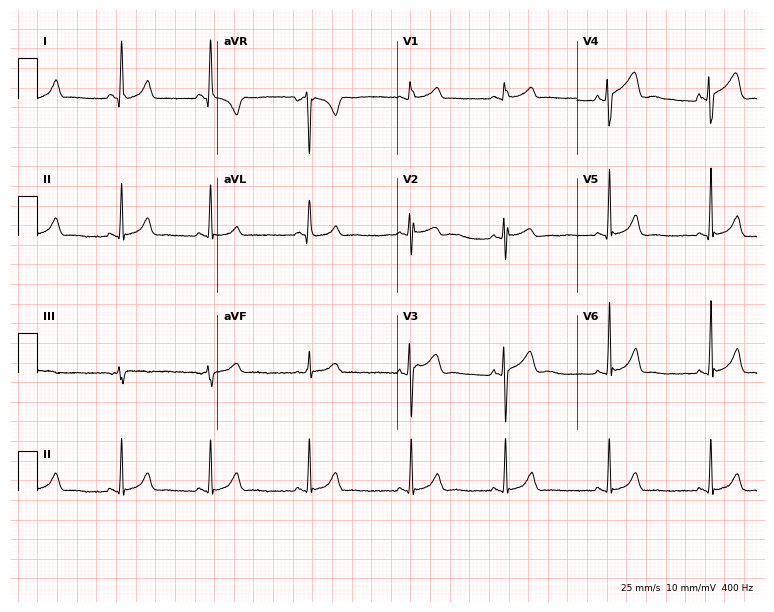
Standard 12-lead ECG recorded from a 24-year-old woman (7.3-second recording at 400 Hz). None of these six findings is recorded: first-degree AV block, right bundle branch block, left bundle branch block, sinus bradycardia, atrial fibrillation, sinus tachycardia.